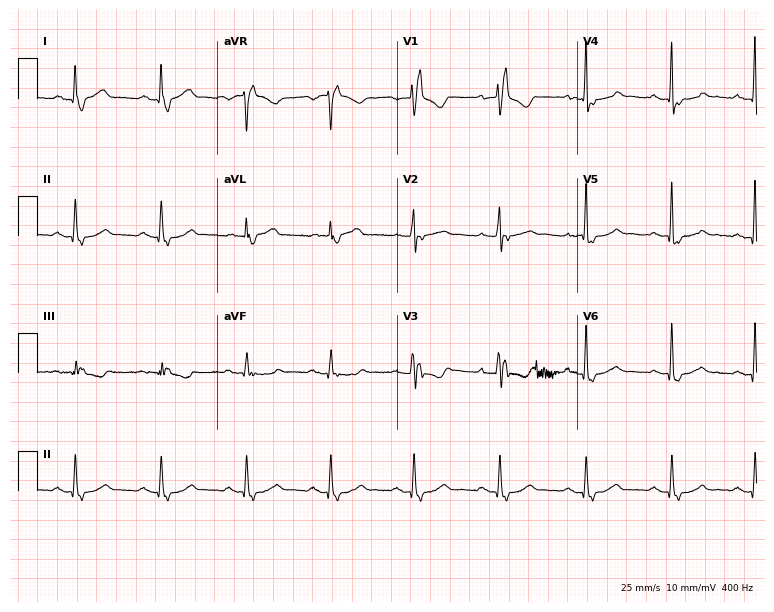
12-lead ECG from a female, 61 years old (7.3-second recording at 400 Hz). Shows right bundle branch block (RBBB).